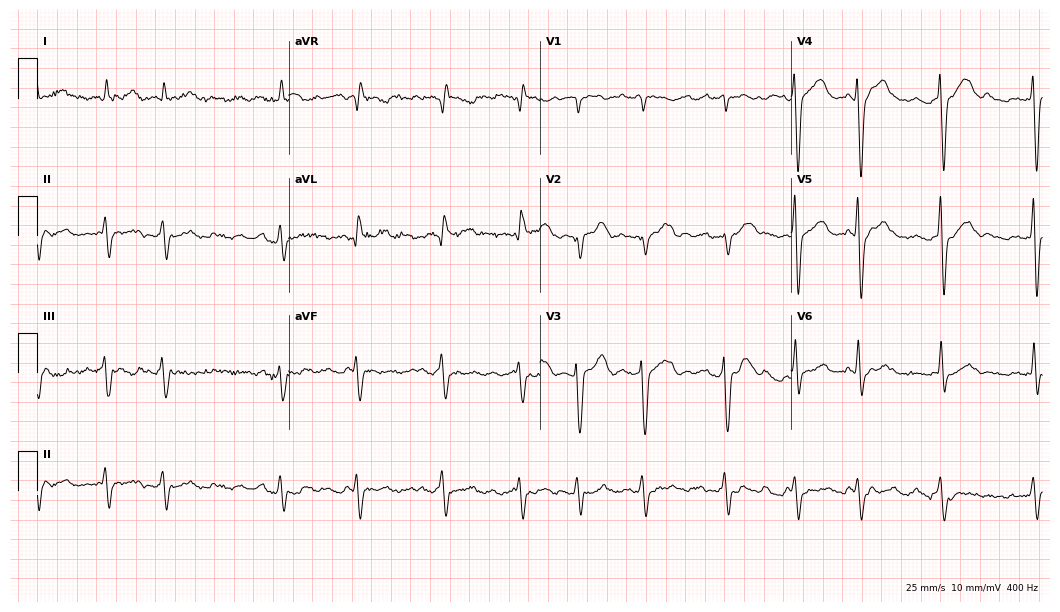
Electrocardiogram, a 52-year-old male patient. Interpretation includes atrial fibrillation (AF).